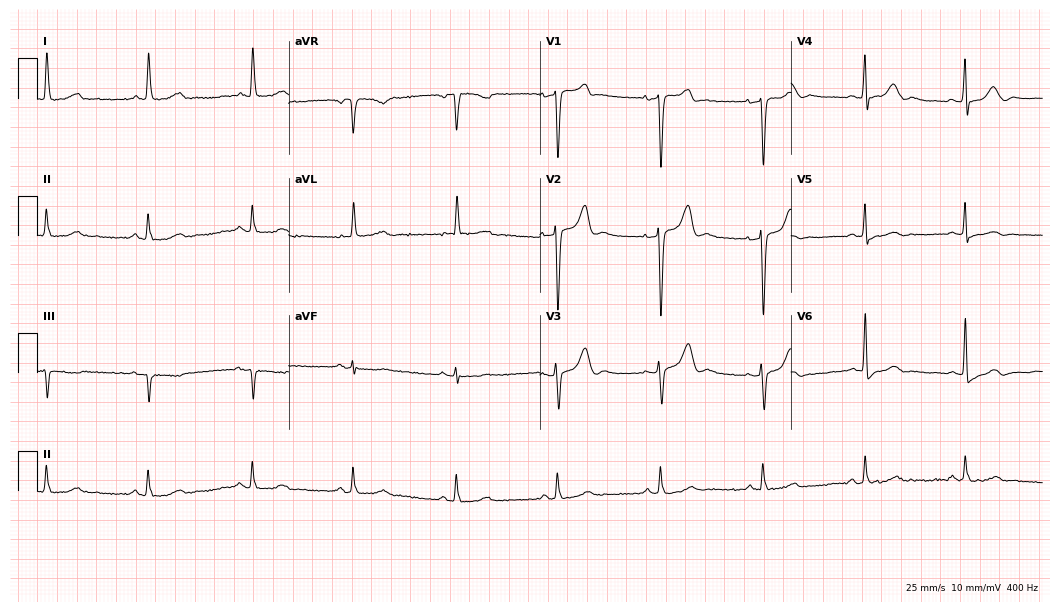
Standard 12-lead ECG recorded from a woman, 82 years old. Read as a normal ECG.